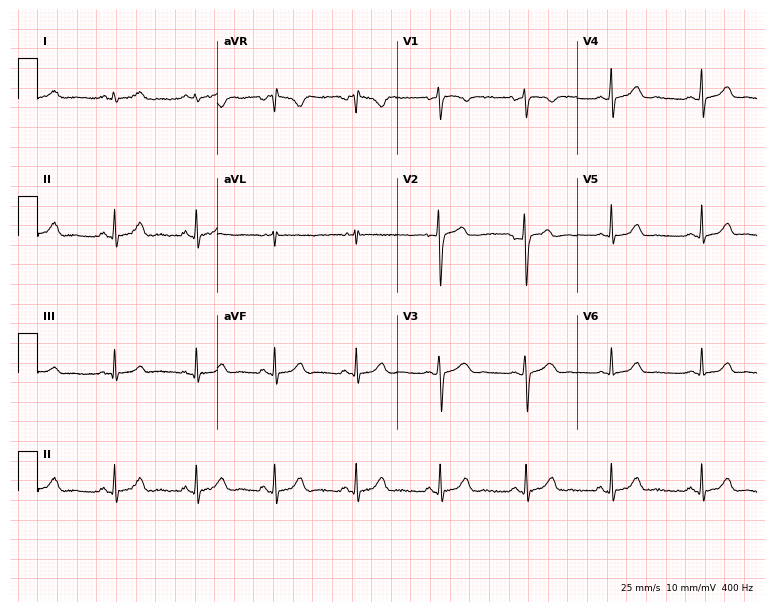
ECG (7.3-second recording at 400 Hz) — a female, 26 years old. Screened for six findings — first-degree AV block, right bundle branch block, left bundle branch block, sinus bradycardia, atrial fibrillation, sinus tachycardia — none is recorded.